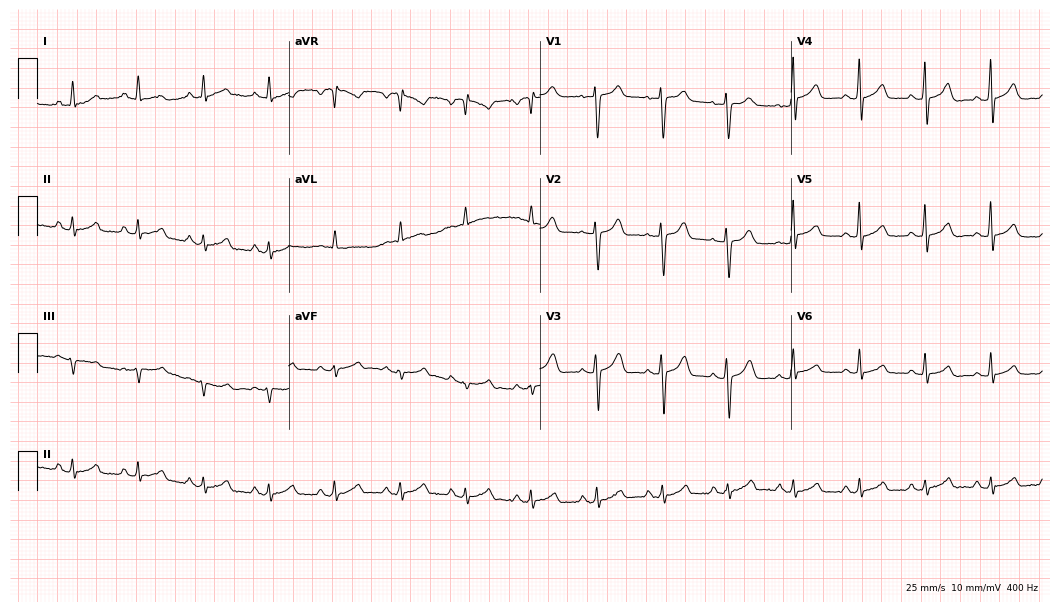
12-lead ECG from a female patient, 66 years old. Recorded interpretation: within normal limits.